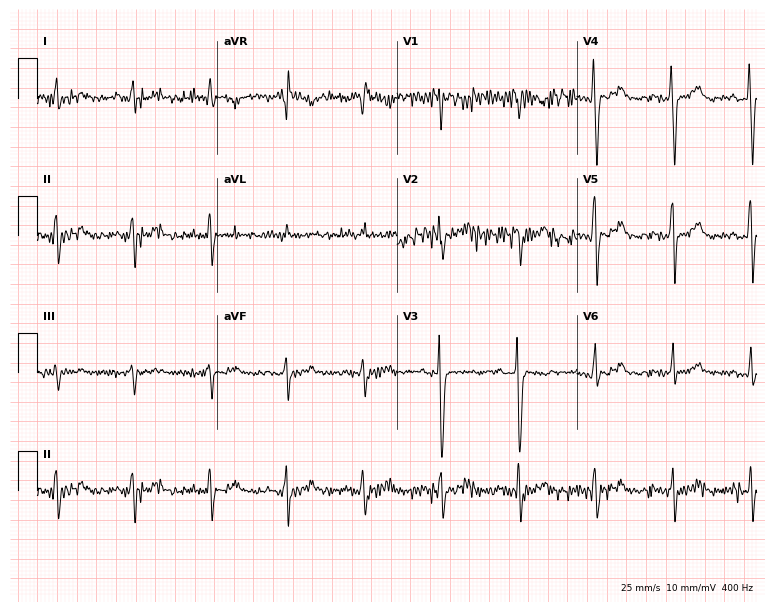
Standard 12-lead ECG recorded from a 57-year-old female. None of these six findings is recorded: first-degree AV block, right bundle branch block, left bundle branch block, sinus bradycardia, atrial fibrillation, sinus tachycardia. Only these six findings were labelled.